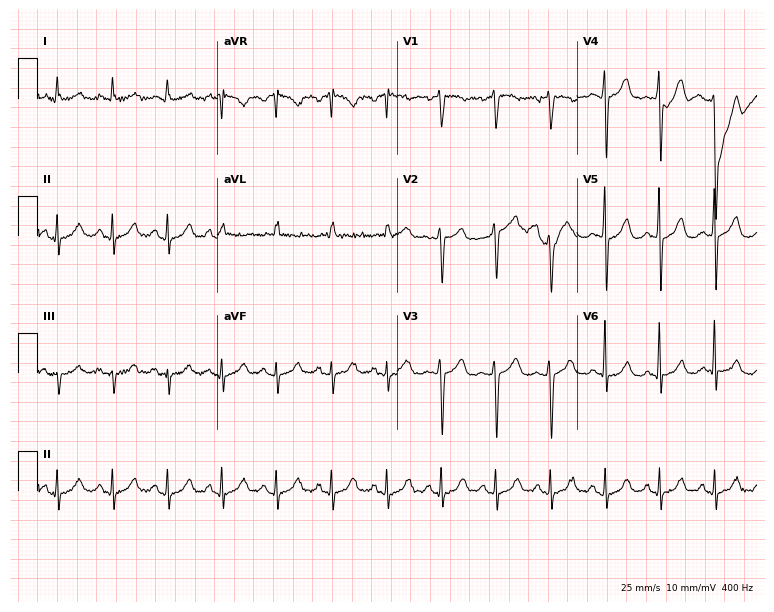
Resting 12-lead electrocardiogram. Patient: a female, 80 years old. The tracing shows sinus tachycardia (a sinus rate of 100 beats per minute or more).